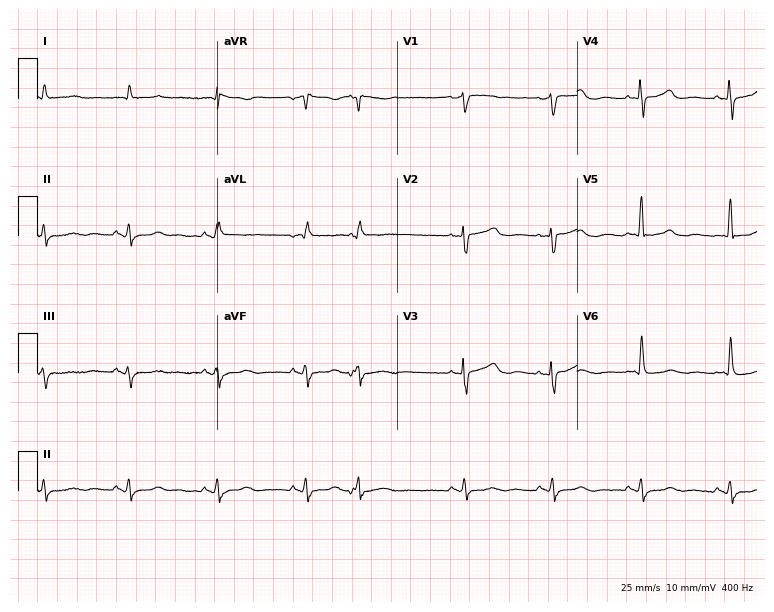
12-lead ECG from a 79-year-old man. Screened for six findings — first-degree AV block, right bundle branch block, left bundle branch block, sinus bradycardia, atrial fibrillation, sinus tachycardia — none is recorded.